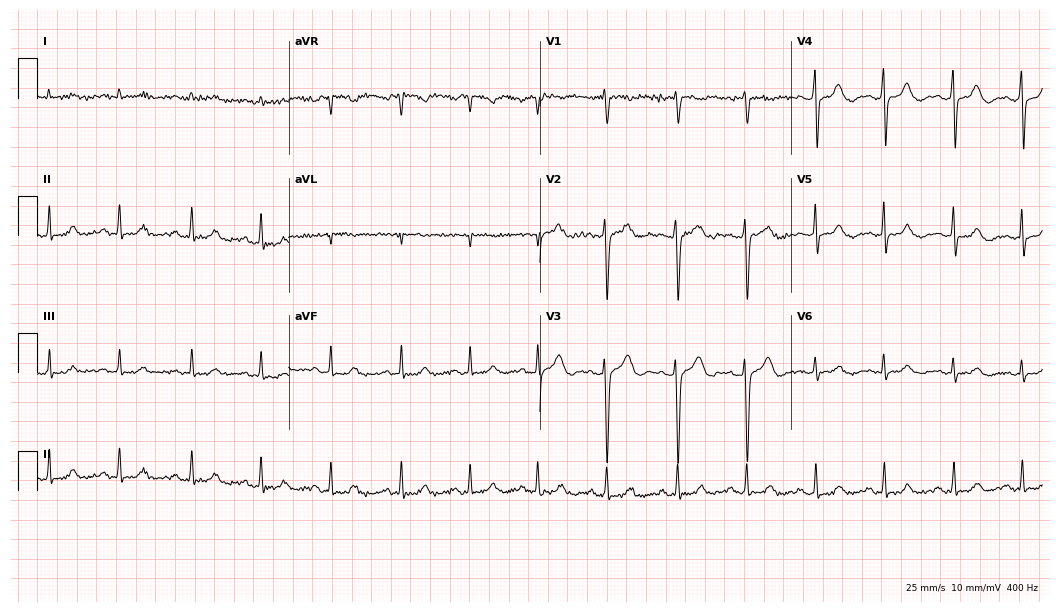
12-lead ECG (10.2-second recording at 400 Hz) from a 30-year-old female patient. Screened for six findings — first-degree AV block, right bundle branch block (RBBB), left bundle branch block (LBBB), sinus bradycardia, atrial fibrillation (AF), sinus tachycardia — none is recorded.